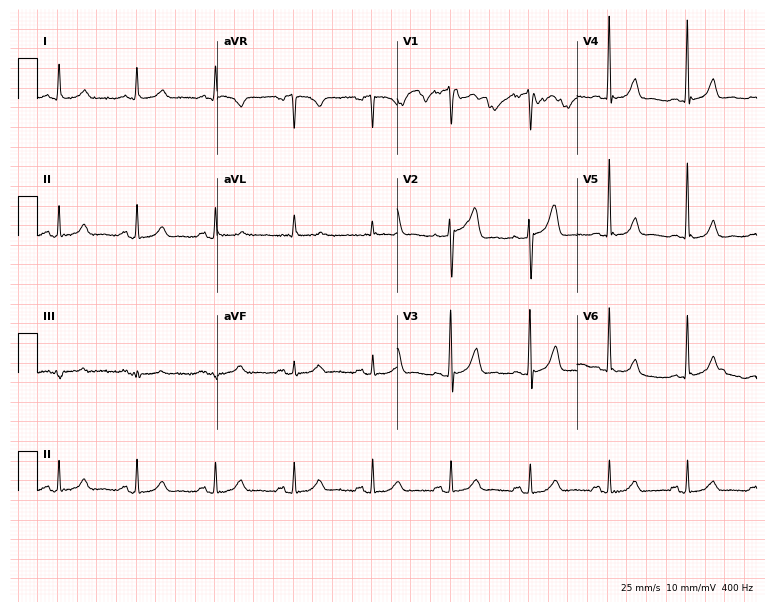
Electrocardiogram, a male, 59 years old. Overall reading on record: normal ECG.